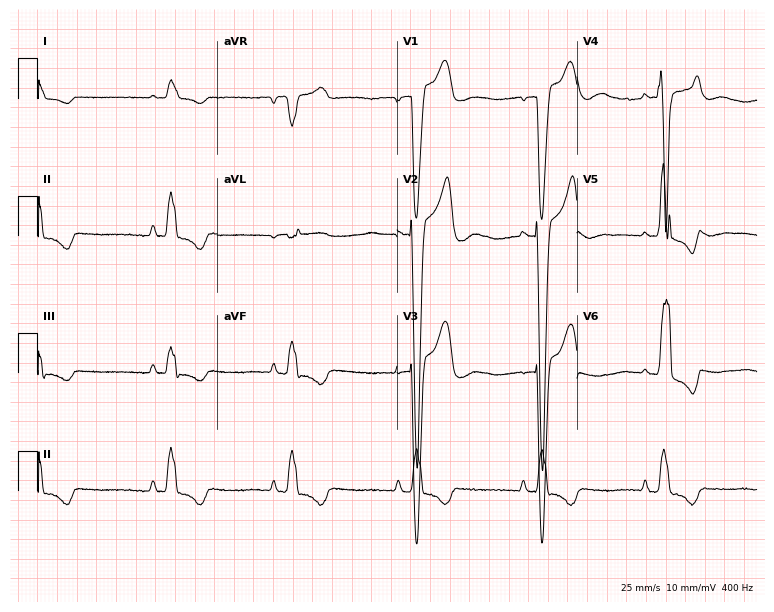
12-lead ECG from a 79-year-old man. Findings include left bundle branch block, sinus bradycardia (a sinus rate of 50 beats per minute or less).